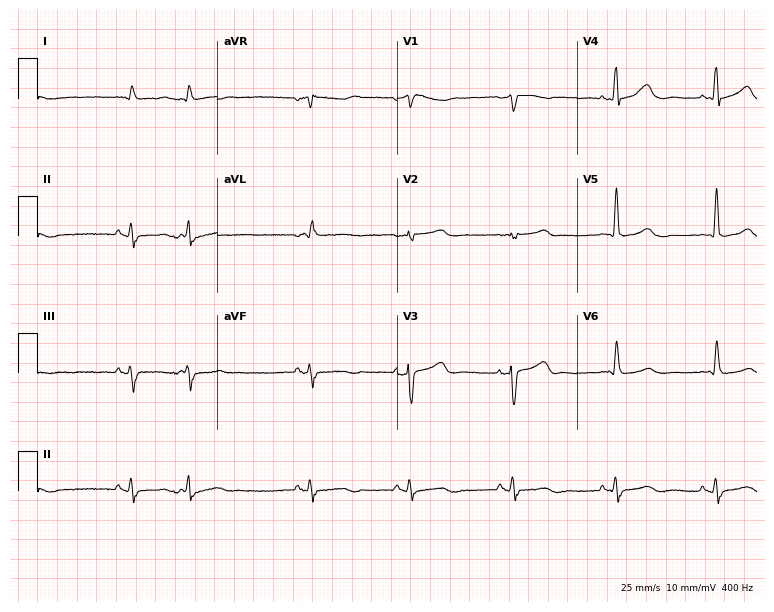
ECG — a man, 81 years old. Screened for six findings — first-degree AV block, right bundle branch block, left bundle branch block, sinus bradycardia, atrial fibrillation, sinus tachycardia — none is recorded.